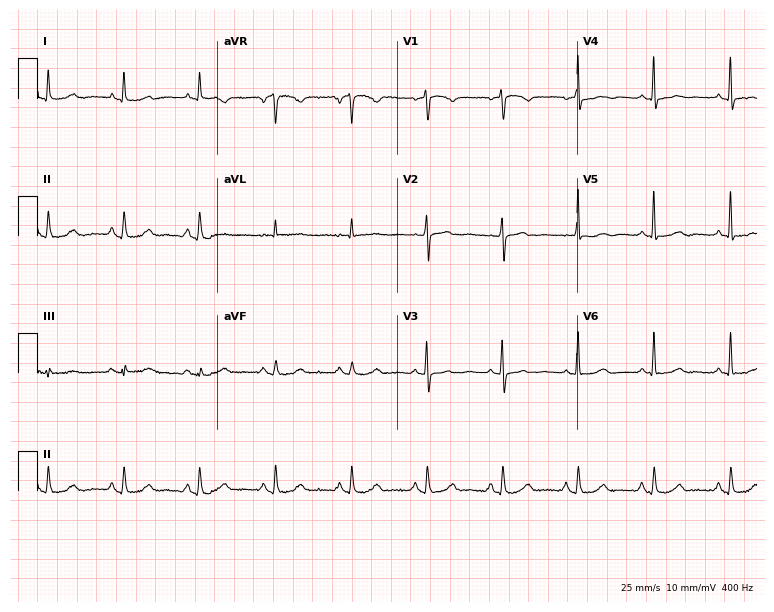
Standard 12-lead ECG recorded from a 78-year-old female patient (7.3-second recording at 400 Hz). Read as a normal ECG.